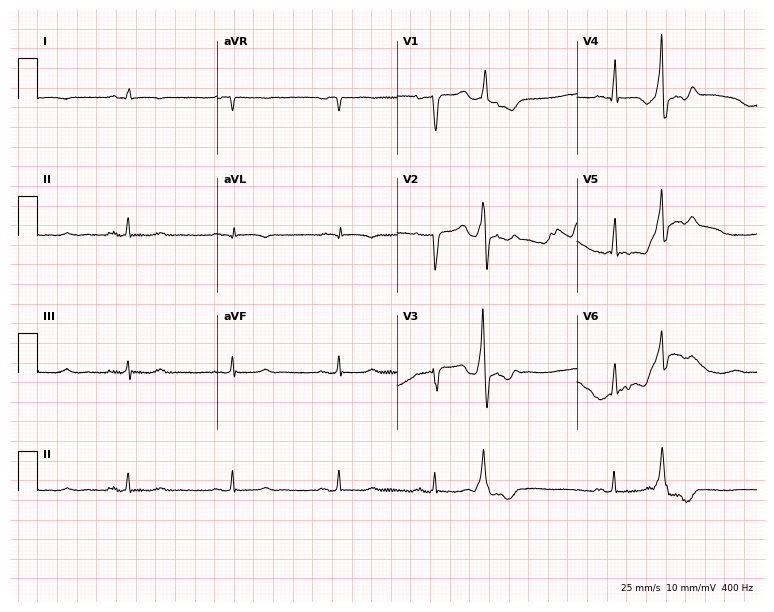
Standard 12-lead ECG recorded from a 63-year-old man. None of these six findings is recorded: first-degree AV block, right bundle branch block, left bundle branch block, sinus bradycardia, atrial fibrillation, sinus tachycardia. Other findings, if any, are not listed.